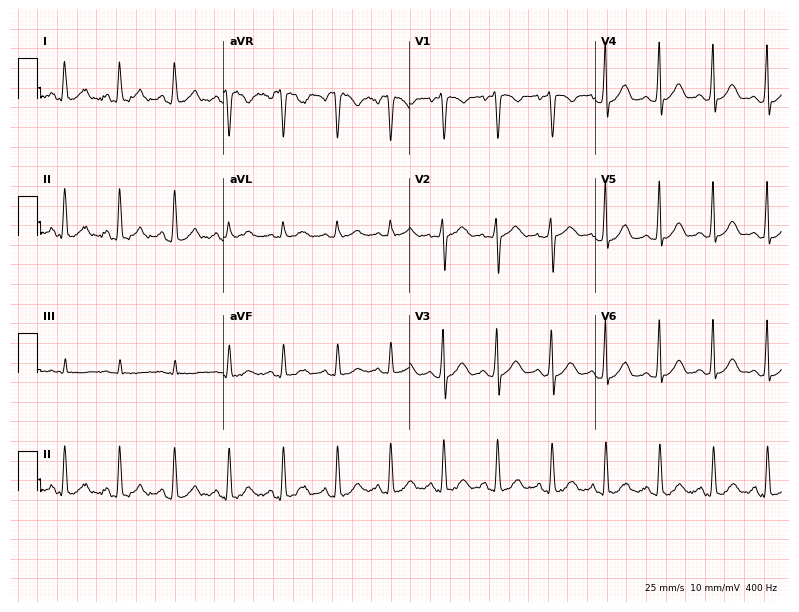
Electrocardiogram (7.6-second recording at 400 Hz), a woman, 20 years old. Interpretation includes sinus tachycardia (a sinus rate of 100 beats per minute or more).